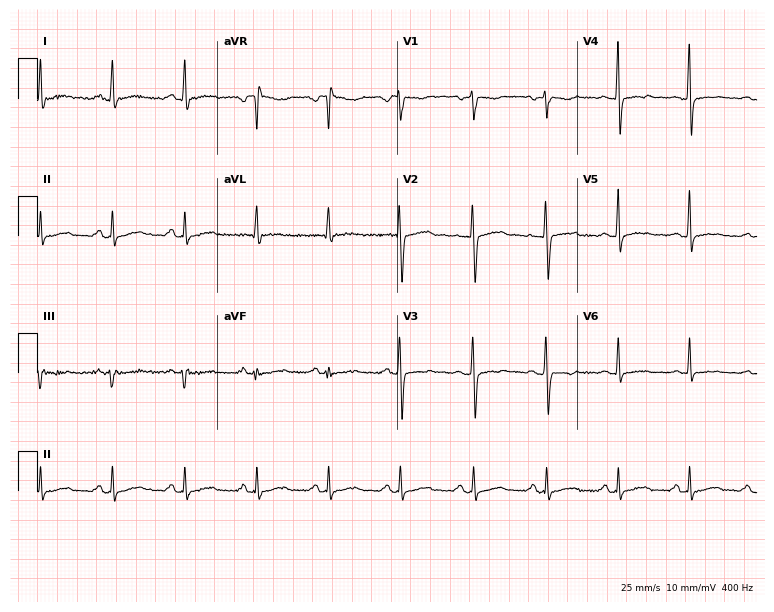
12-lead ECG (7.3-second recording at 400 Hz) from a female patient, 40 years old. Screened for six findings — first-degree AV block, right bundle branch block (RBBB), left bundle branch block (LBBB), sinus bradycardia, atrial fibrillation (AF), sinus tachycardia — none is recorded. Only these six findings were labelled.